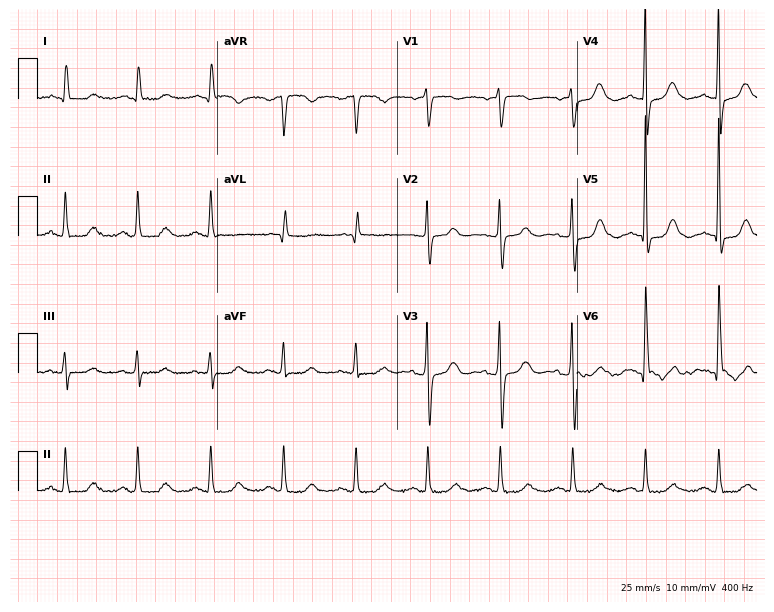
Standard 12-lead ECG recorded from a female, 74 years old. Read as a normal ECG.